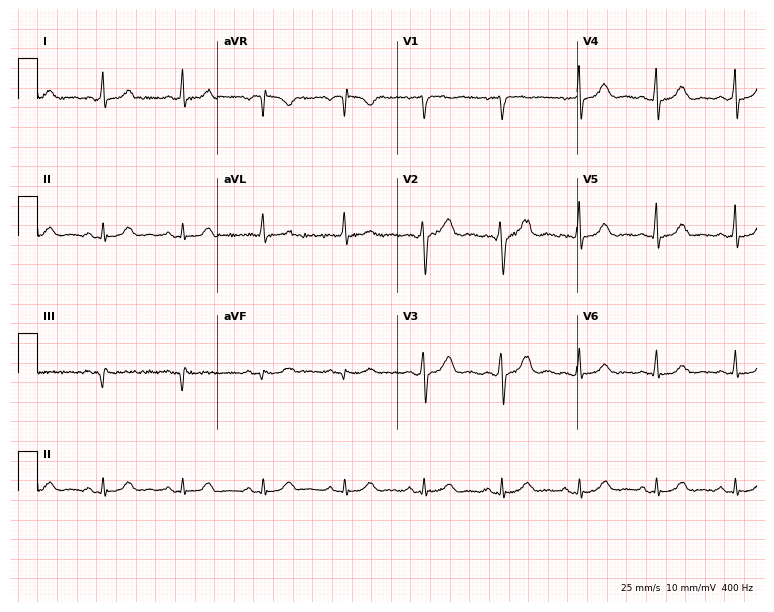
ECG (7.3-second recording at 400 Hz) — a 50-year-old female patient. Screened for six findings — first-degree AV block, right bundle branch block (RBBB), left bundle branch block (LBBB), sinus bradycardia, atrial fibrillation (AF), sinus tachycardia — none is recorded.